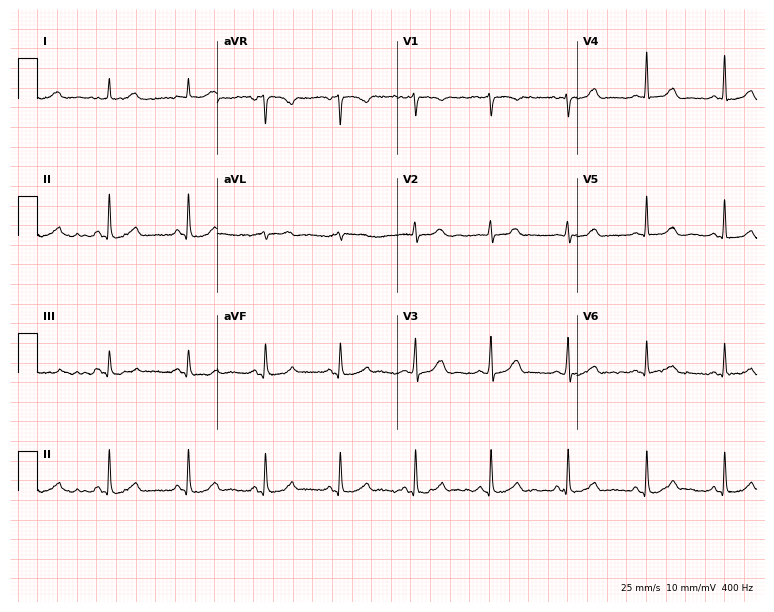
Standard 12-lead ECG recorded from a 40-year-old woman. Read as a normal ECG.